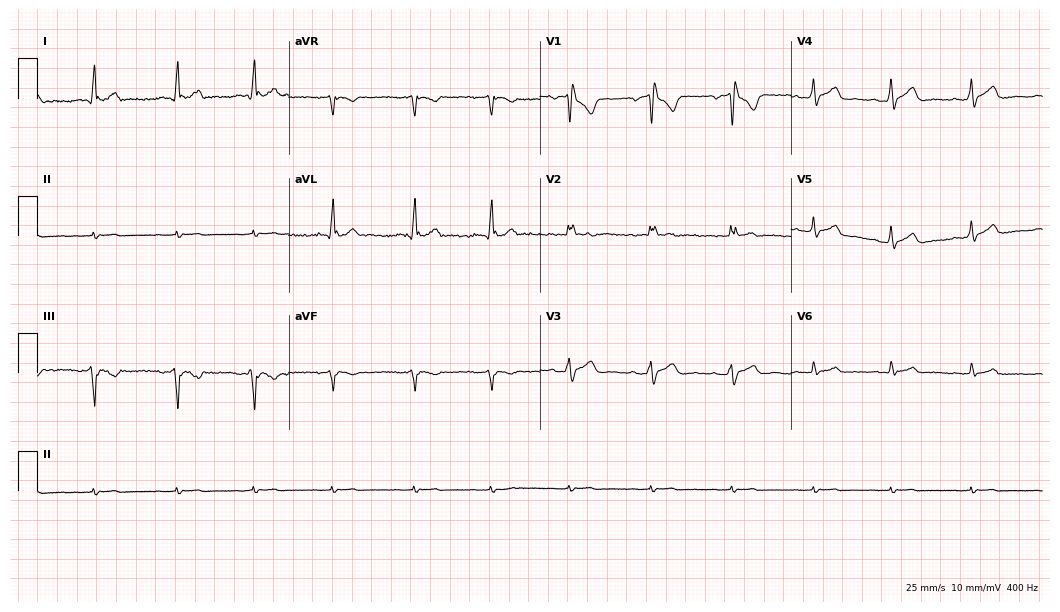
Electrocardiogram (10.2-second recording at 400 Hz), a 22-year-old male. Of the six screened findings (first-degree AV block, right bundle branch block (RBBB), left bundle branch block (LBBB), sinus bradycardia, atrial fibrillation (AF), sinus tachycardia), none is recorded.